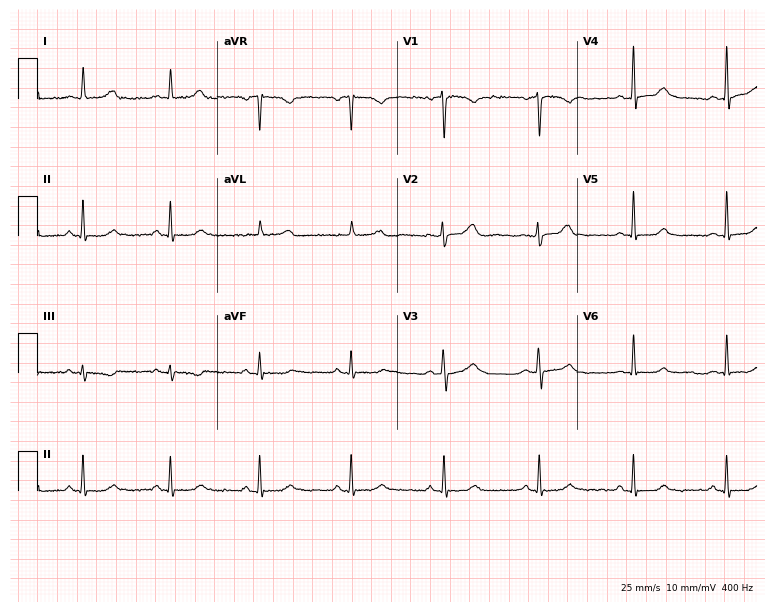
12-lead ECG from a female, 42 years old. Recorded interpretation: within normal limits.